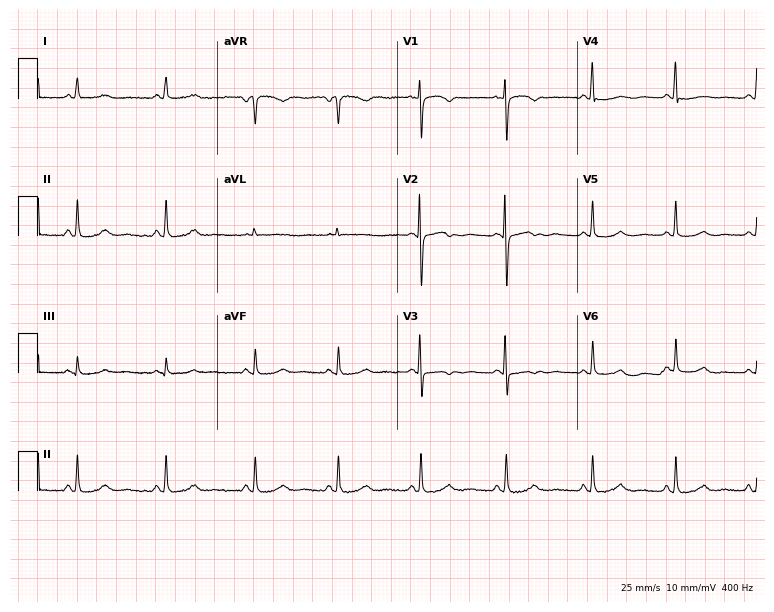
Electrocardiogram (7.3-second recording at 400 Hz), a 56-year-old female patient. Of the six screened findings (first-degree AV block, right bundle branch block (RBBB), left bundle branch block (LBBB), sinus bradycardia, atrial fibrillation (AF), sinus tachycardia), none is recorded. Only these six findings were labelled.